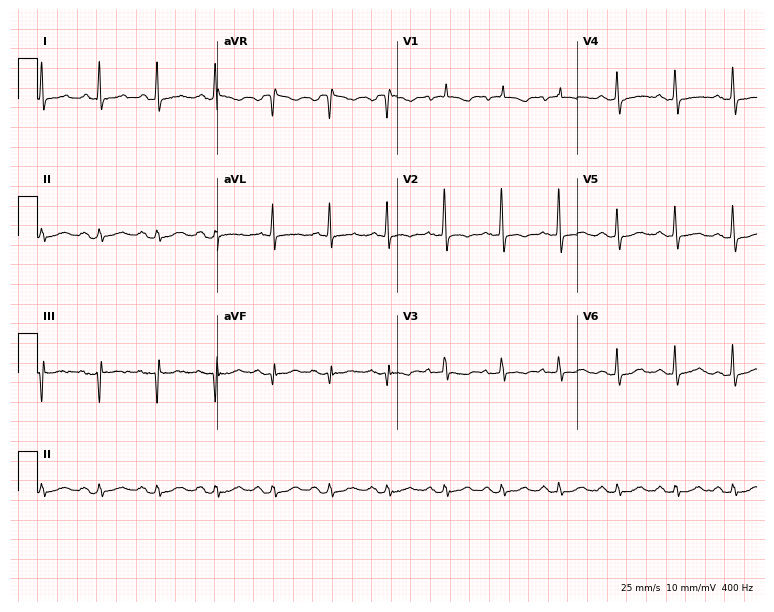
12-lead ECG from a woman, 75 years old (7.3-second recording at 400 Hz). No first-degree AV block, right bundle branch block, left bundle branch block, sinus bradycardia, atrial fibrillation or sinus tachycardia recorded for this tracing. Findings outside these six are not listed.